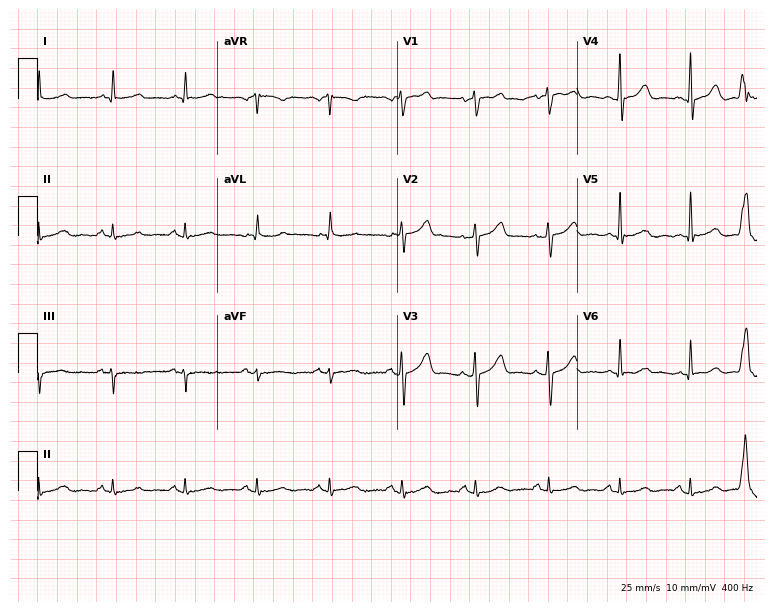
12-lead ECG from a man, 67 years old. Labelled as a normal ECG.